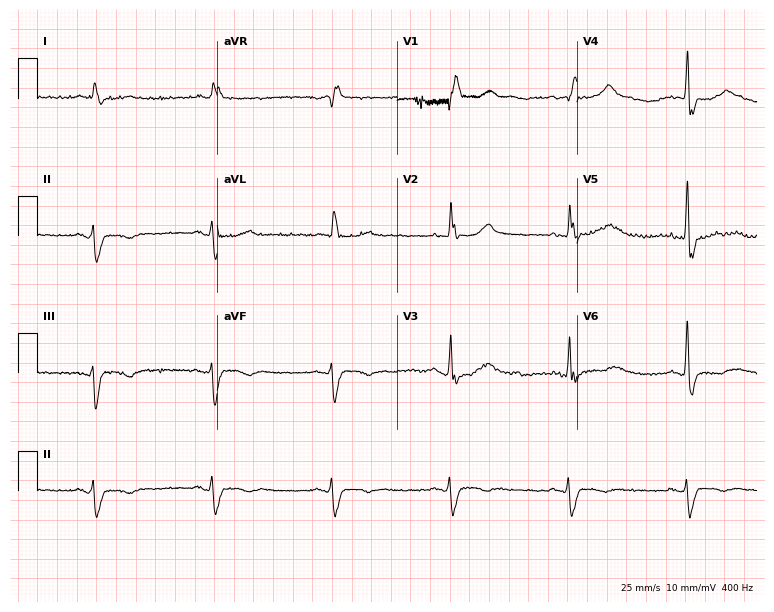
Standard 12-lead ECG recorded from a man, 70 years old. The tracing shows right bundle branch block (RBBB), sinus bradycardia (a sinus rate of 50 beats per minute or less).